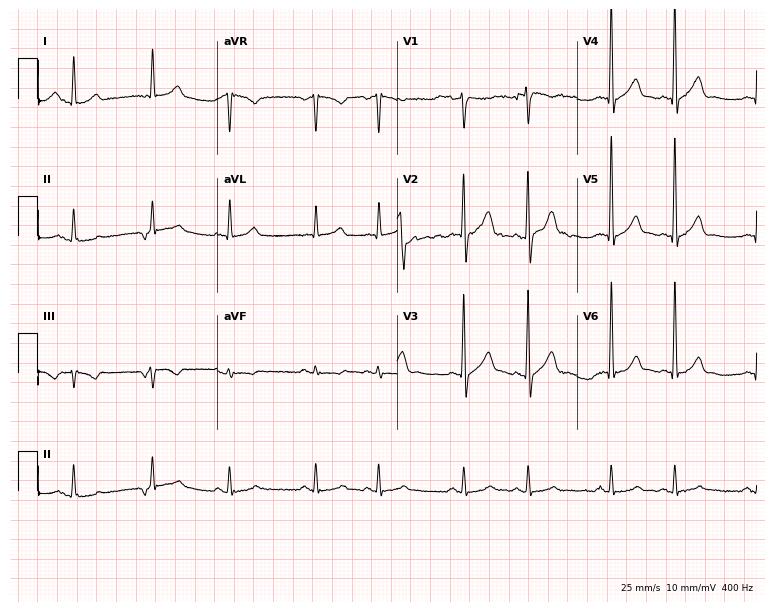
Electrocardiogram, a 59-year-old male. Of the six screened findings (first-degree AV block, right bundle branch block, left bundle branch block, sinus bradycardia, atrial fibrillation, sinus tachycardia), none is recorded.